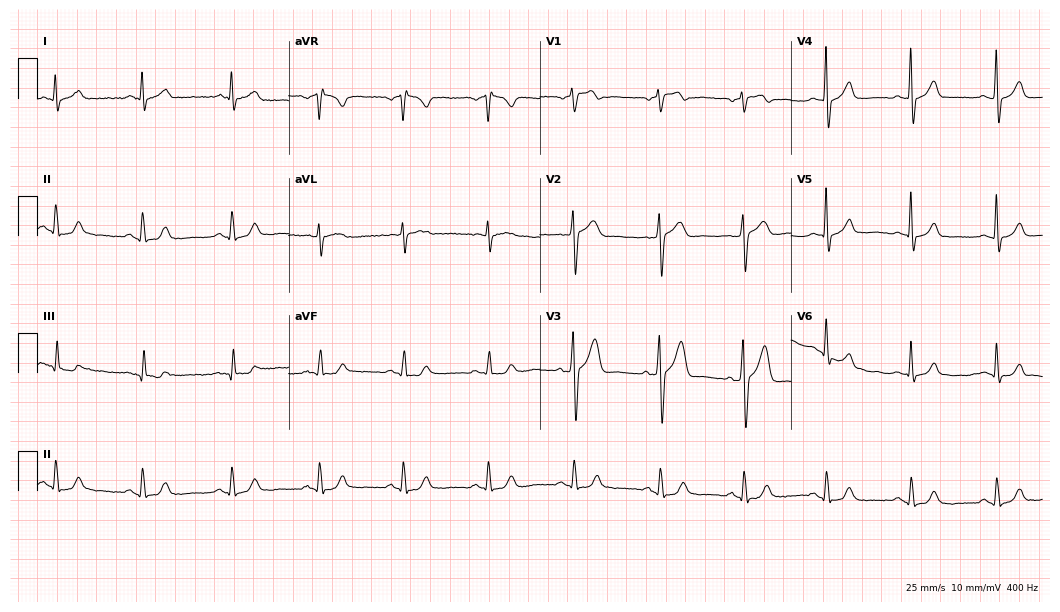
12-lead ECG from a male patient, 57 years old. Screened for six findings — first-degree AV block, right bundle branch block, left bundle branch block, sinus bradycardia, atrial fibrillation, sinus tachycardia — none is recorded.